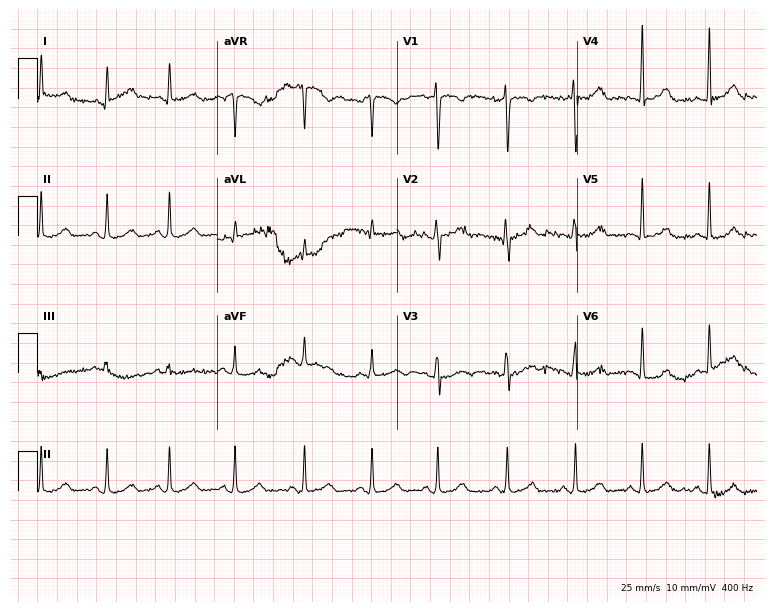
12-lead ECG (7.3-second recording at 400 Hz) from a female, 19 years old. Screened for six findings — first-degree AV block, right bundle branch block (RBBB), left bundle branch block (LBBB), sinus bradycardia, atrial fibrillation (AF), sinus tachycardia — none is recorded. Findings outside these six are not listed.